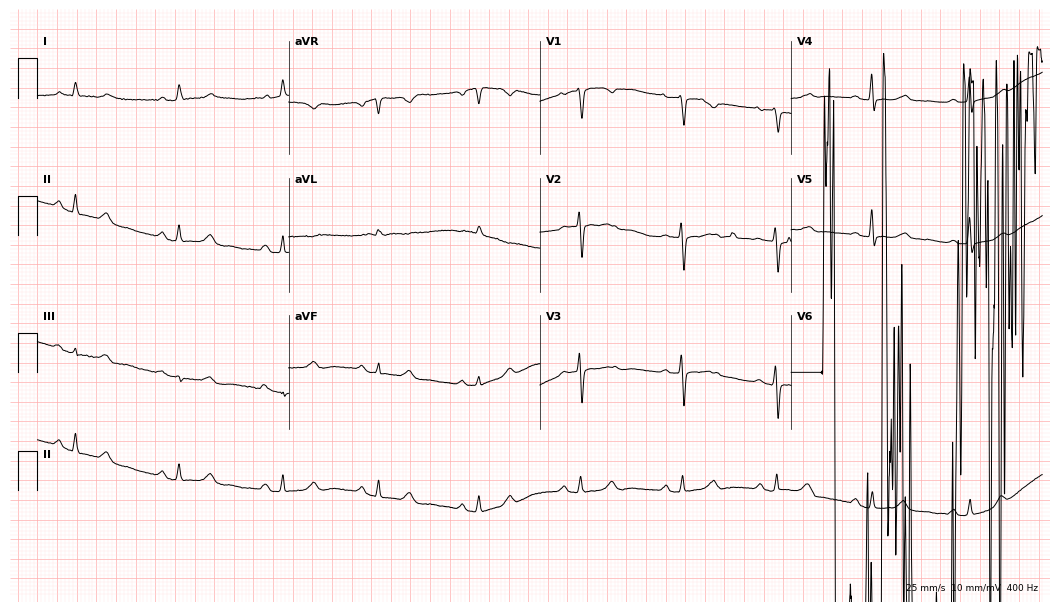
Resting 12-lead electrocardiogram. Patient: a female, 62 years old. None of these six findings is recorded: first-degree AV block, right bundle branch block (RBBB), left bundle branch block (LBBB), sinus bradycardia, atrial fibrillation (AF), sinus tachycardia. Only these six findings were labelled.